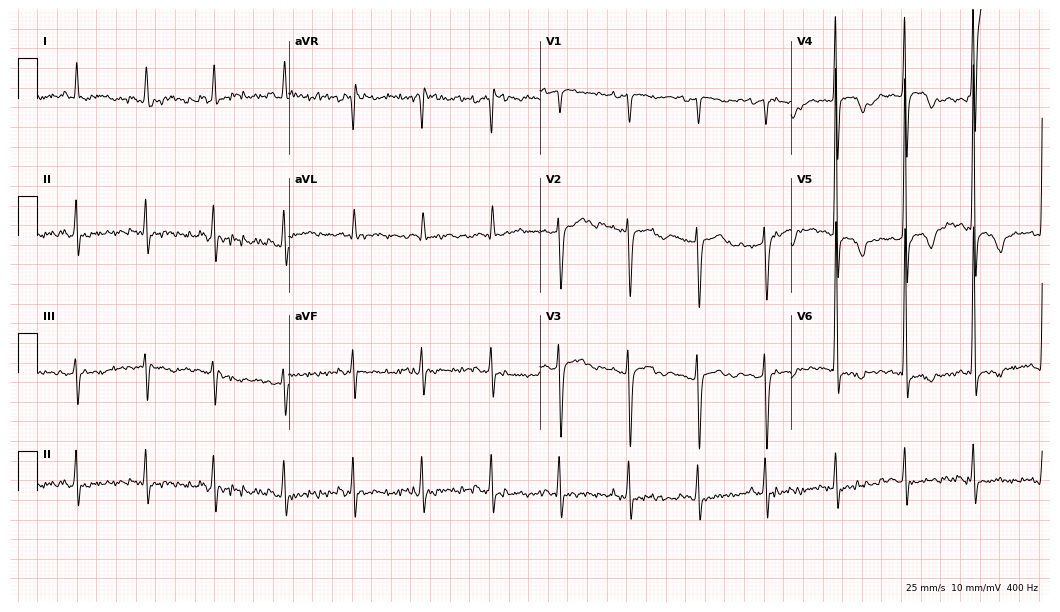
ECG — a 71-year-old female patient. Screened for six findings — first-degree AV block, right bundle branch block (RBBB), left bundle branch block (LBBB), sinus bradycardia, atrial fibrillation (AF), sinus tachycardia — none is recorded. Findings outside these six are not listed.